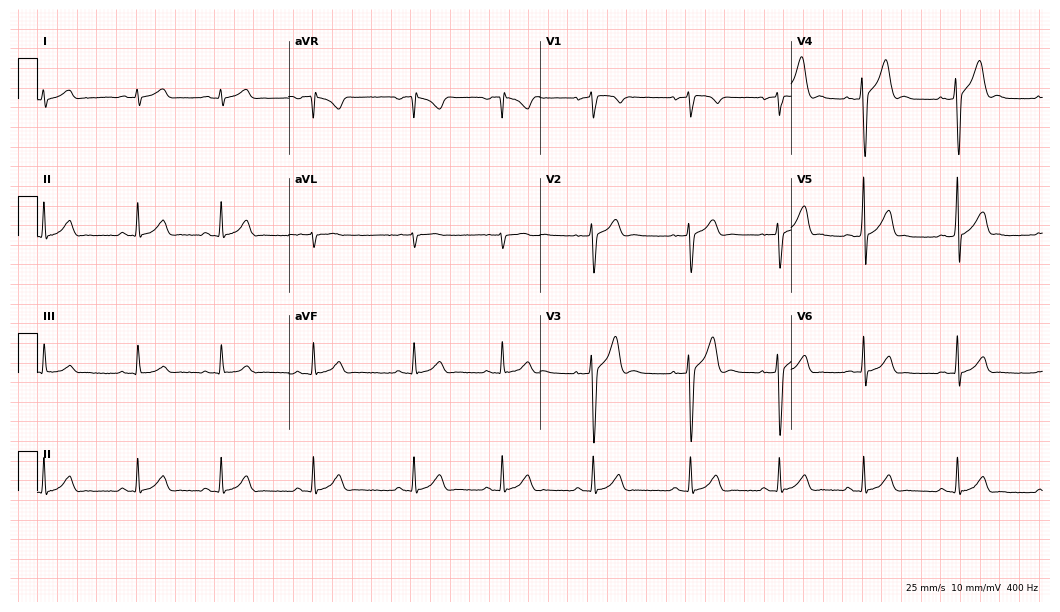
12-lead ECG from a man, 17 years old. Recorded interpretation: within normal limits.